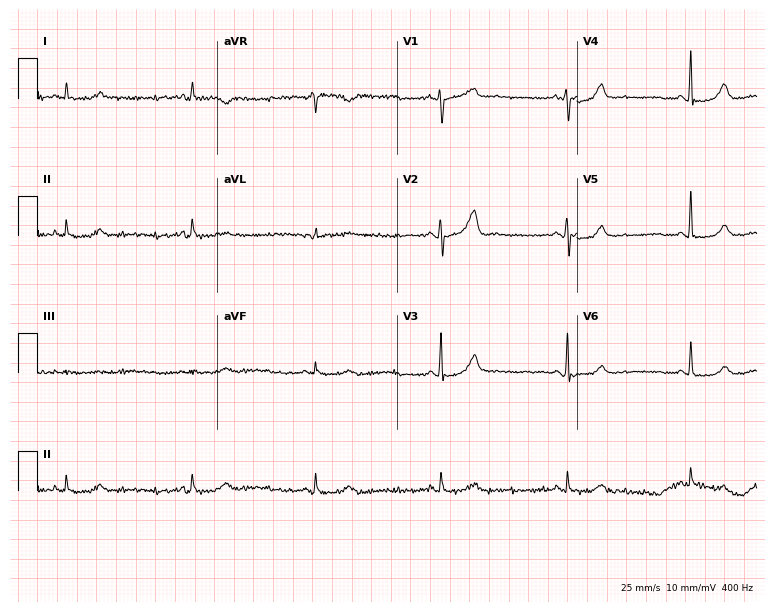
12-lead ECG from a 63-year-old female (7.3-second recording at 400 Hz). No first-degree AV block, right bundle branch block (RBBB), left bundle branch block (LBBB), sinus bradycardia, atrial fibrillation (AF) or sinus tachycardia recorded for this tracing. Only these six findings were labelled.